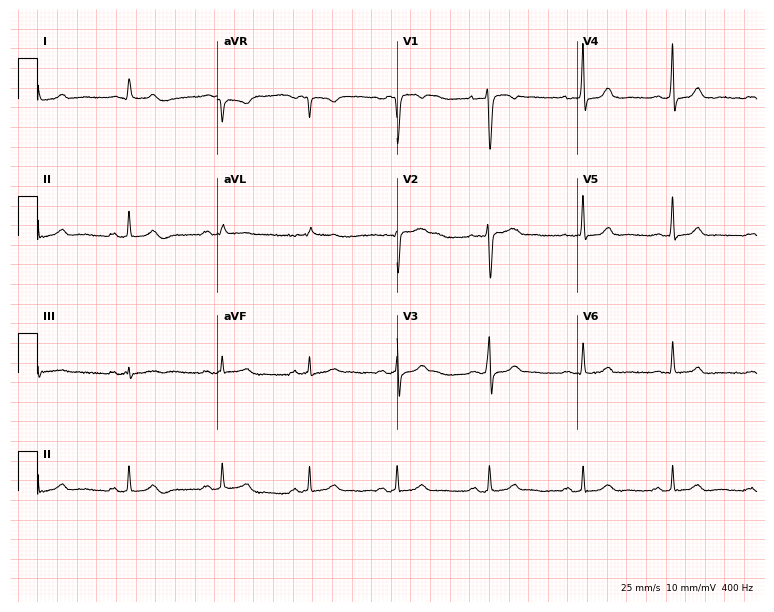
12-lead ECG from a 30-year-old female (7.3-second recording at 400 Hz). Recorded interpretation: within normal limits.